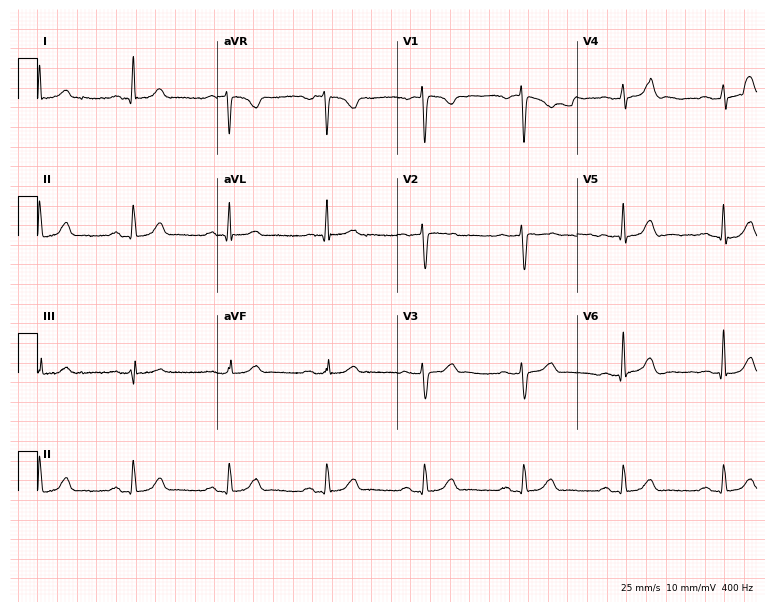
12-lead ECG from a female, 52 years old (7.3-second recording at 400 Hz). Recorded interpretation: within normal limits.